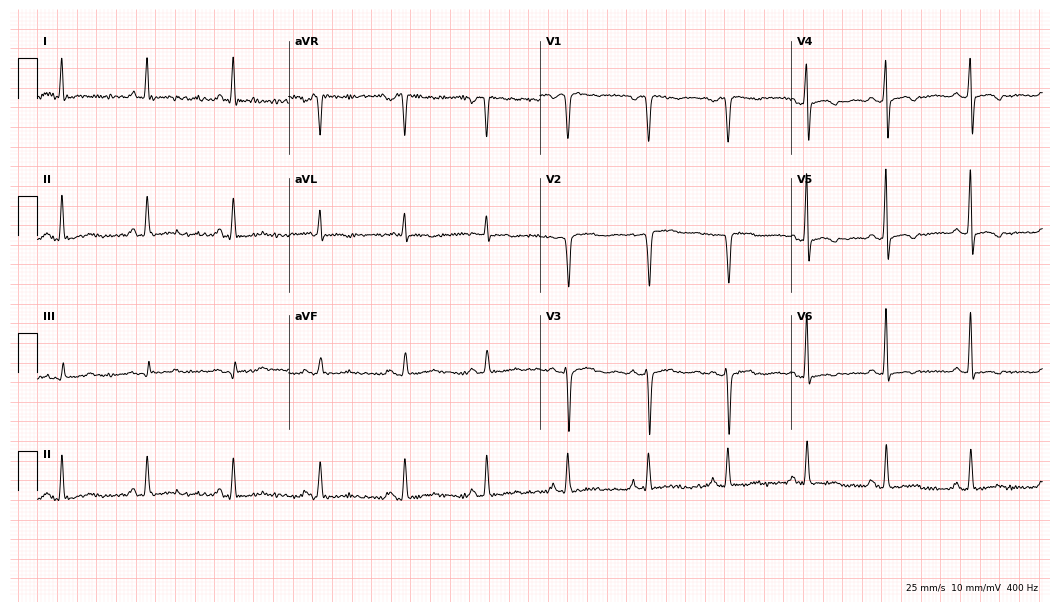
12-lead ECG (10.2-second recording at 400 Hz) from a 56-year-old woman. Screened for six findings — first-degree AV block, right bundle branch block, left bundle branch block, sinus bradycardia, atrial fibrillation, sinus tachycardia — none is recorded.